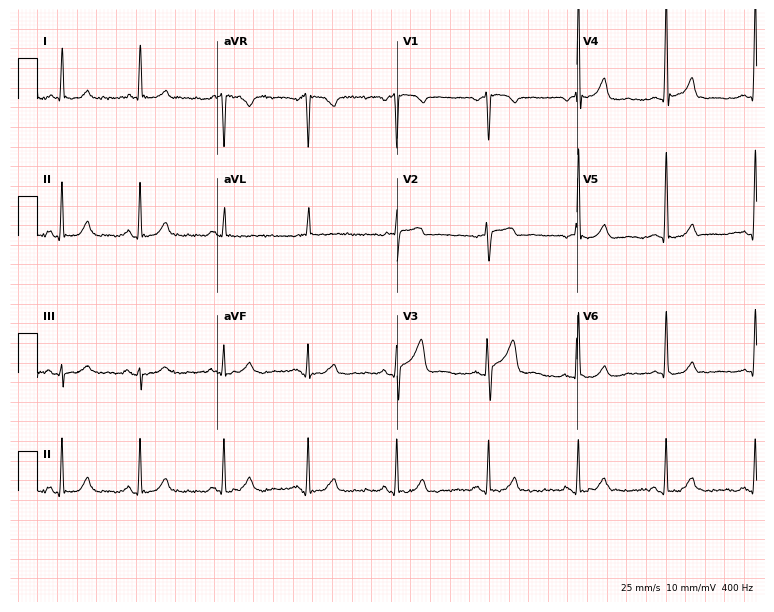
ECG — a male, 77 years old. Labelled as a normal ECG.